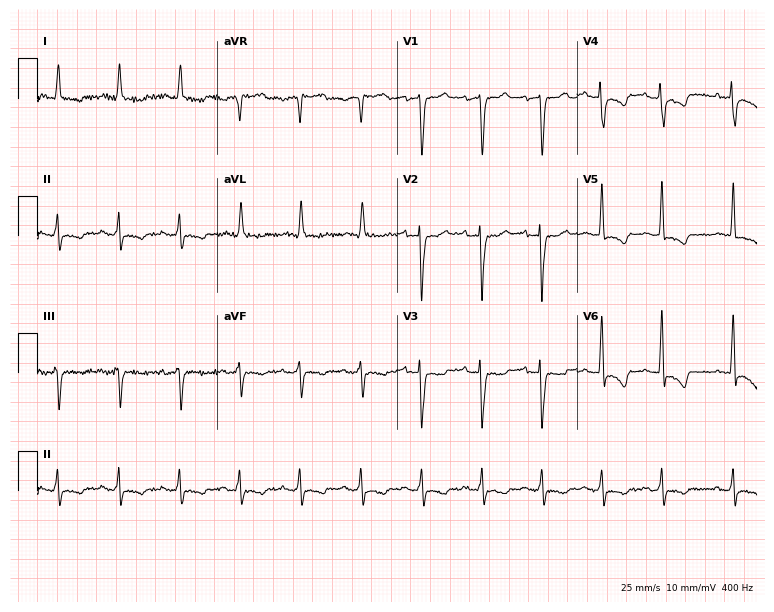
Resting 12-lead electrocardiogram (7.3-second recording at 400 Hz). Patient: a woman, 81 years old. None of these six findings is recorded: first-degree AV block, right bundle branch block, left bundle branch block, sinus bradycardia, atrial fibrillation, sinus tachycardia.